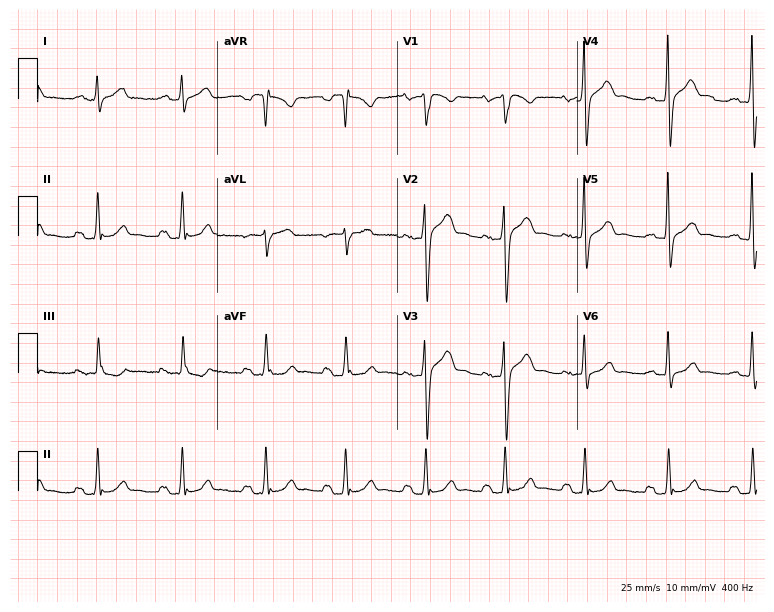
ECG (7.3-second recording at 400 Hz) — a man, 57 years old. Screened for six findings — first-degree AV block, right bundle branch block (RBBB), left bundle branch block (LBBB), sinus bradycardia, atrial fibrillation (AF), sinus tachycardia — none is recorded. Only these six findings were labelled.